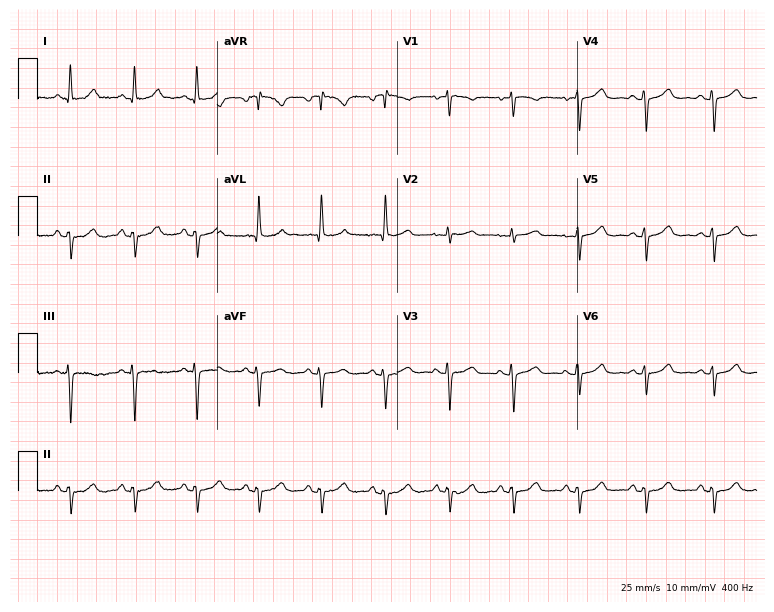
ECG — a 65-year-old female. Screened for six findings — first-degree AV block, right bundle branch block (RBBB), left bundle branch block (LBBB), sinus bradycardia, atrial fibrillation (AF), sinus tachycardia — none is recorded. Only these six findings were labelled.